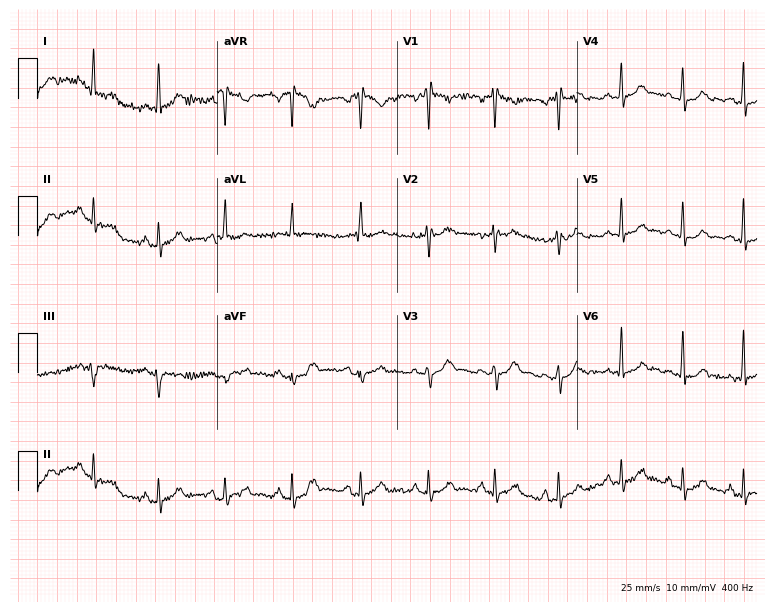
12-lead ECG from a 34-year-old woman. No first-degree AV block, right bundle branch block (RBBB), left bundle branch block (LBBB), sinus bradycardia, atrial fibrillation (AF) or sinus tachycardia recorded for this tracing. Only these six findings were labelled.